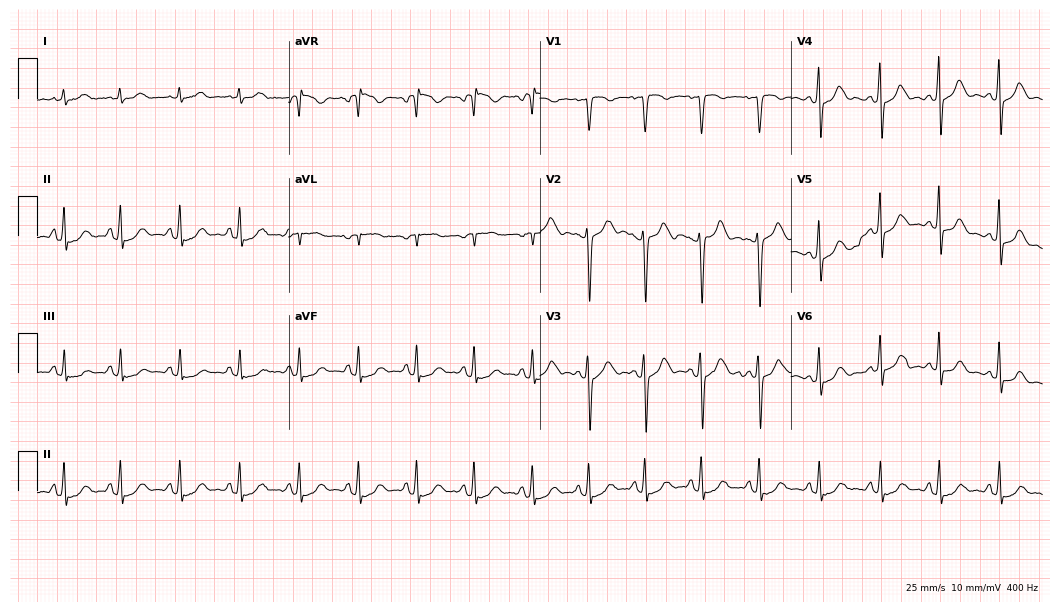
12-lead ECG from a 52-year-old woman. Findings include sinus tachycardia (a sinus rate of 100 beats per minute or more).